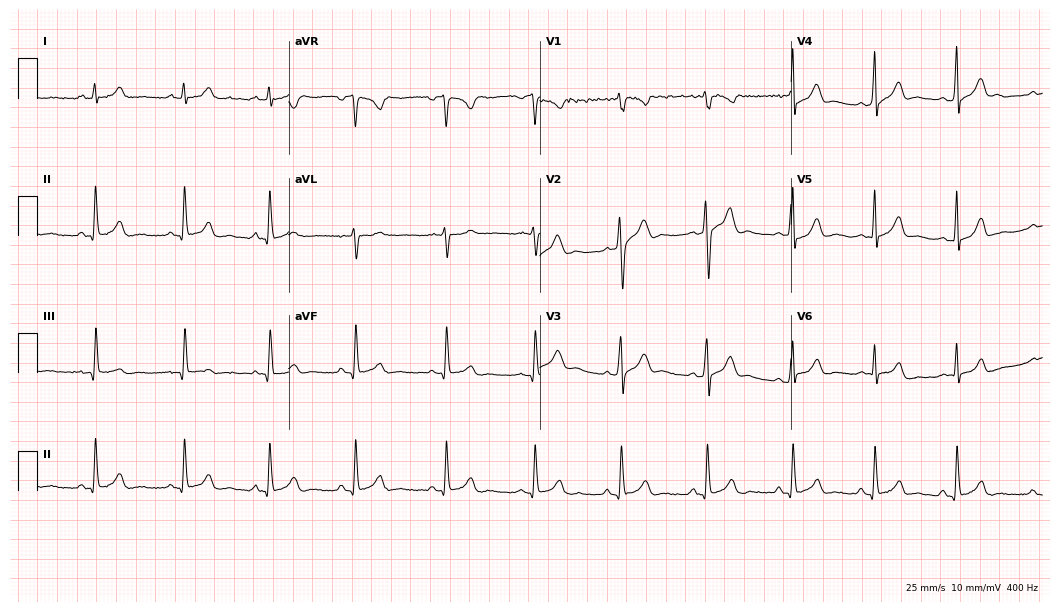
Standard 12-lead ECG recorded from a 22-year-old male patient (10.2-second recording at 400 Hz). Read as a normal ECG.